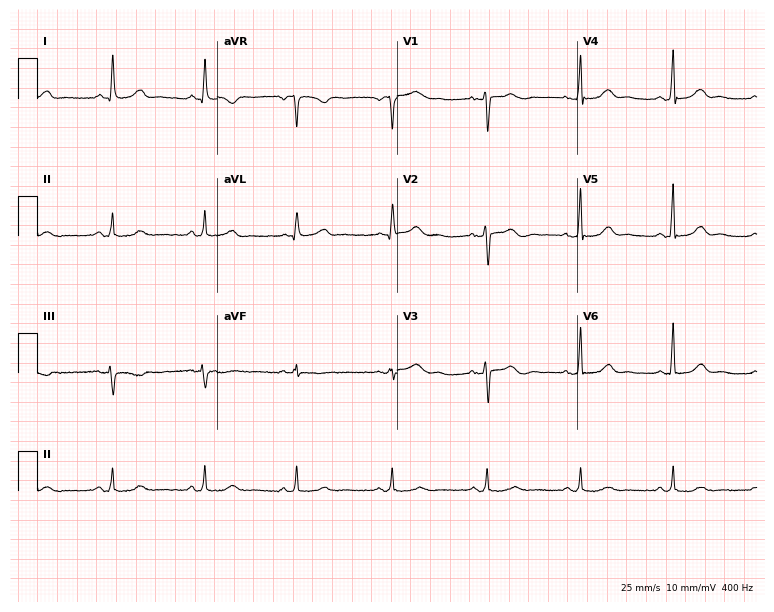
ECG (7.3-second recording at 400 Hz) — a 58-year-old female. Labelled as a normal ECG.